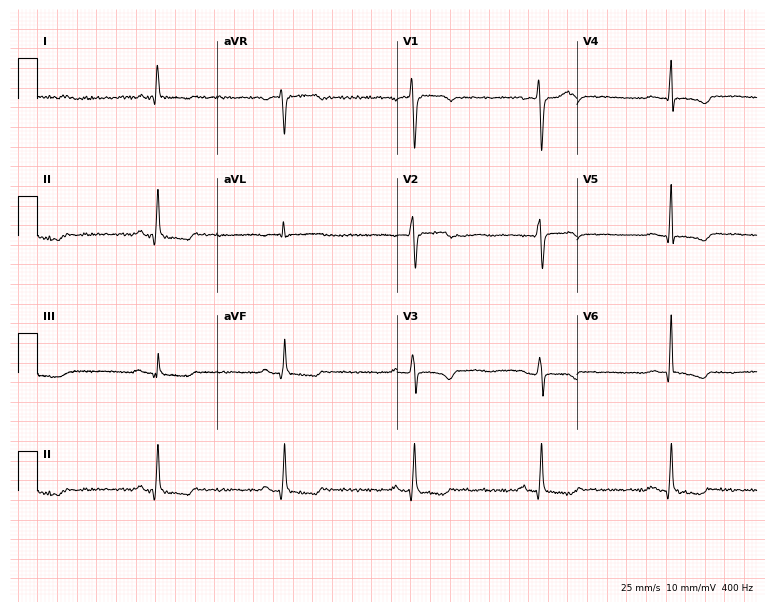
Resting 12-lead electrocardiogram. Patient: a female, 63 years old. The tracing shows sinus bradycardia (a sinus rate of 50 beats per minute or less).